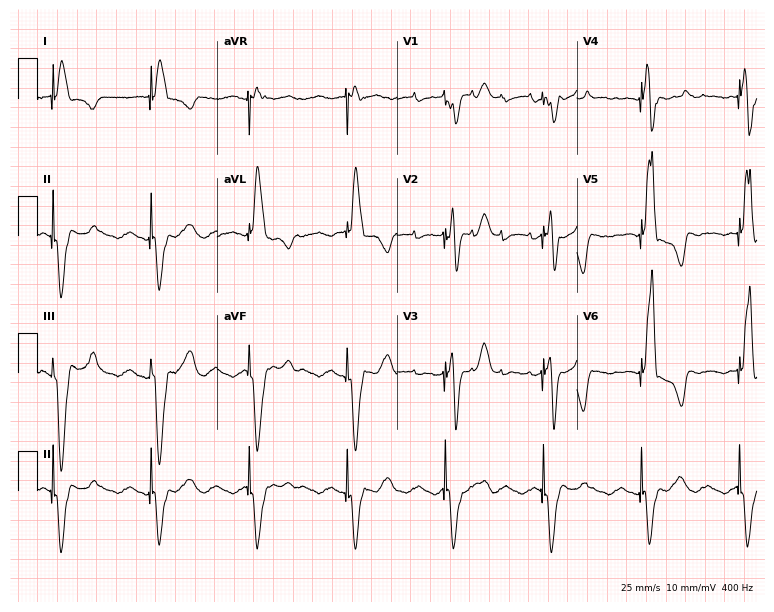
Standard 12-lead ECG recorded from a 68-year-old female (7.3-second recording at 400 Hz). None of these six findings is recorded: first-degree AV block, right bundle branch block (RBBB), left bundle branch block (LBBB), sinus bradycardia, atrial fibrillation (AF), sinus tachycardia.